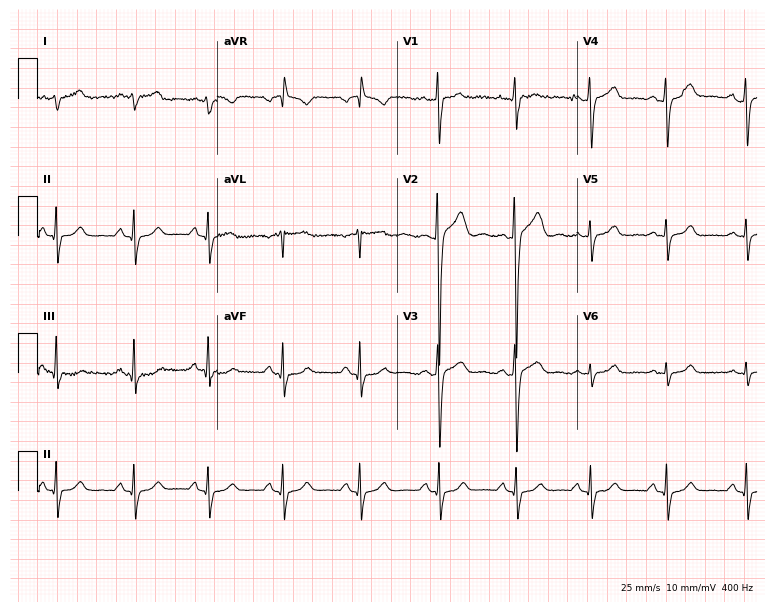
Resting 12-lead electrocardiogram (7.3-second recording at 400 Hz). Patient: a male, 20 years old. None of these six findings is recorded: first-degree AV block, right bundle branch block, left bundle branch block, sinus bradycardia, atrial fibrillation, sinus tachycardia. Other findings, if any, are not listed.